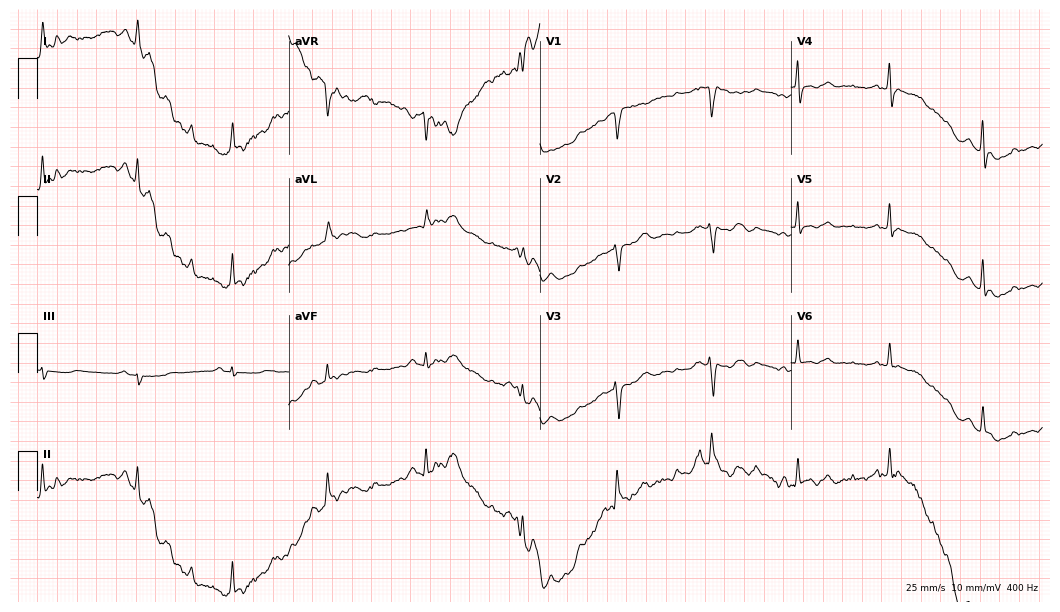
12-lead ECG from a male, 66 years old. No first-degree AV block, right bundle branch block, left bundle branch block, sinus bradycardia, atrial fibrillation or sinus tachycardia recorded for this tracing. Only these six findings were labelled.